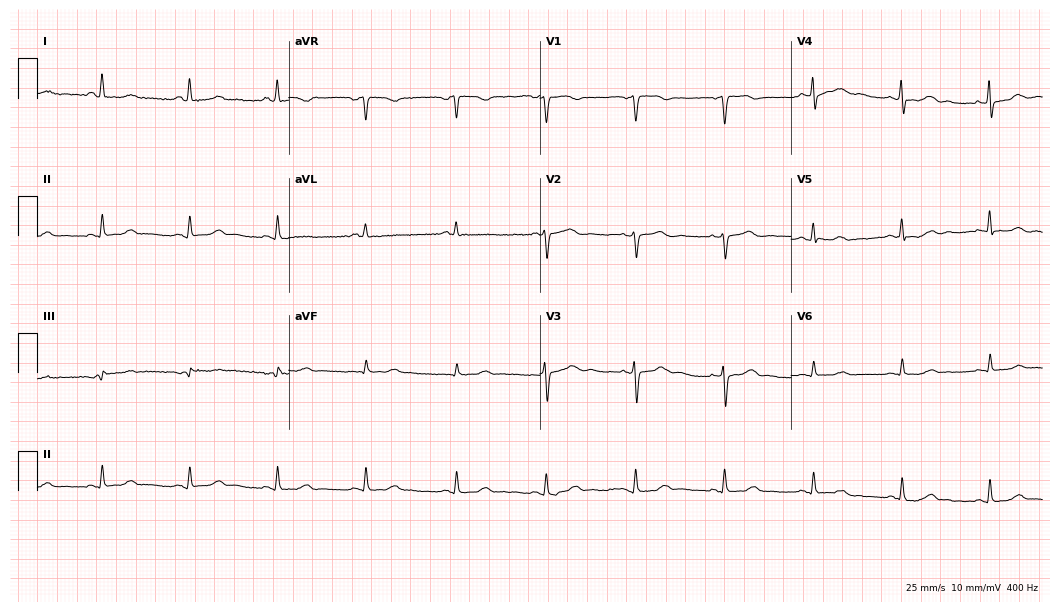
Standard 12-lead ECG recorded from a woman, 64 years old. Read as a normal ECG.